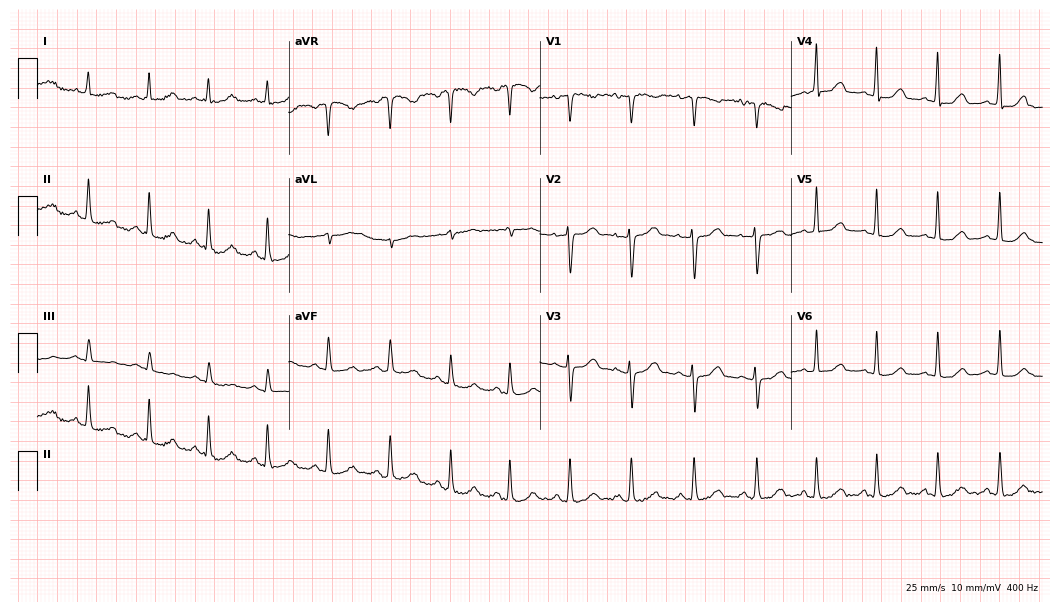
Electrocardiogram (10.2-second recording at 400 Hz), a female patient, 38 years old. Of the six screened findings (first-degree AV block, right bundle branch block (RBBB), left bundle branch block (LBBB), sinus bradycardia, atrial fibrillation (AF), sinus tachycardia), none is recorded. Other findings, if any, are not listed.